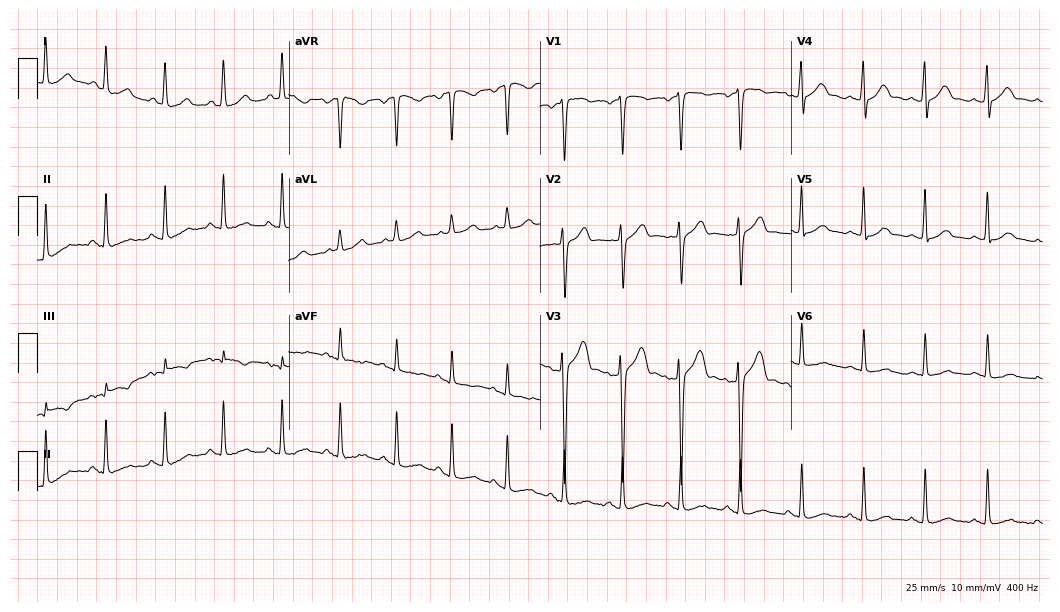
Electrocardiogram (10.2-second recording at 400 Hz), a man, 35 years old. Overall reading on record: normal ECG.